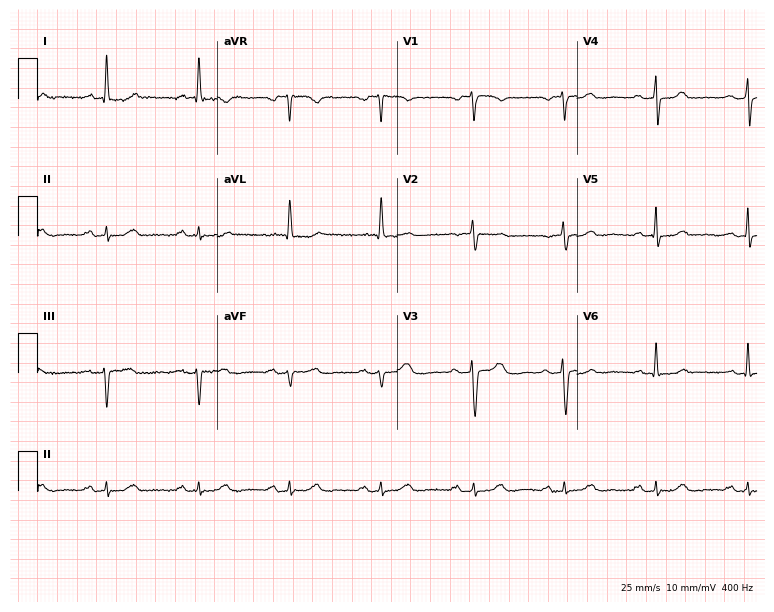
12-lead ECG from a female, 59 years old. Labelled as a normal ECG.